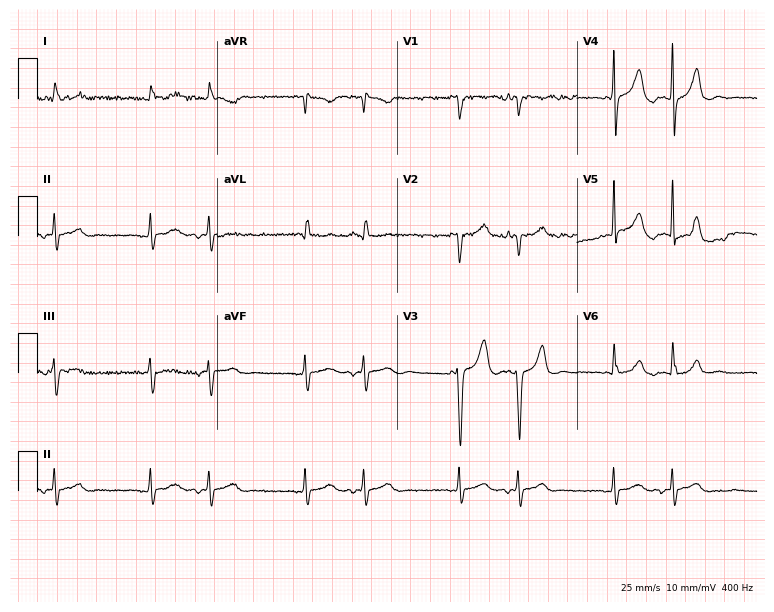
Standard 12-lead ECG recorded from an 82-year-old man. None of these six findings is recorded: first-degree AV block, right bundle branch block (RBBB), left bundle branch block (LBBB), sinus bradycardia, atrial fibrillation (AF), sinus tachycardia. Only these six findings were labelled.